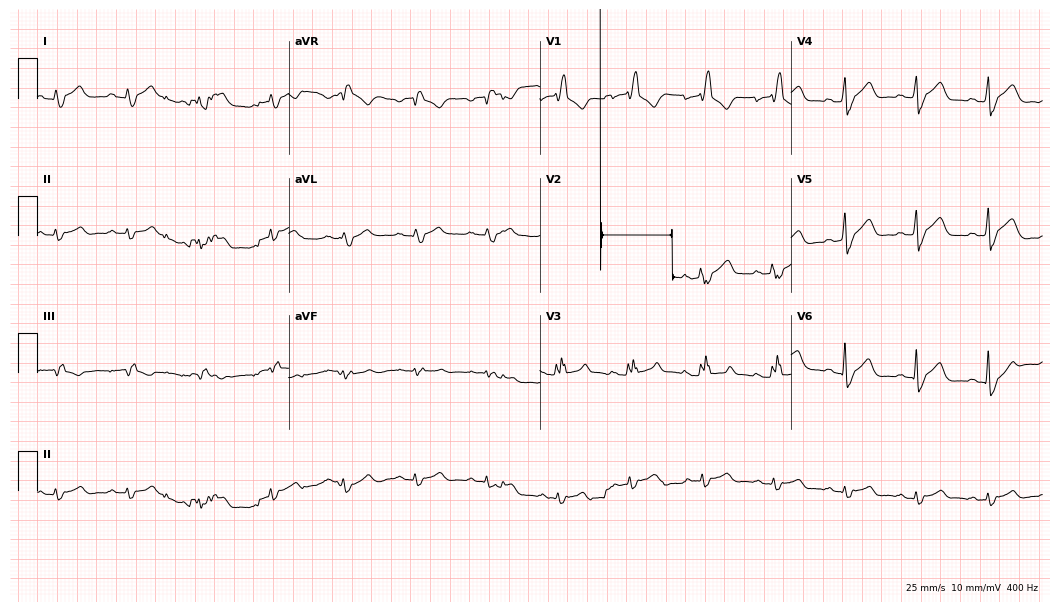
12-lead ECG from a 59-year-old male patient. Shows right bundle branch block.